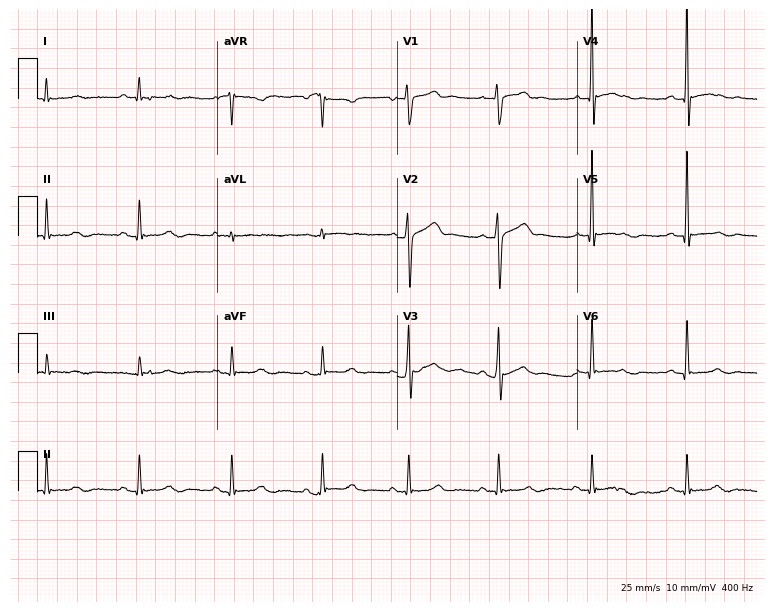
Standard 12-lead ECG recorded from a 62-year-old man (7.3-second recording at 400 Hz). None of these six findings is recorded: first-degree AV block, right bundle branch block, left bundle branch block, sinus bradycardia, atrial fibrillation, sinus tachycardia.